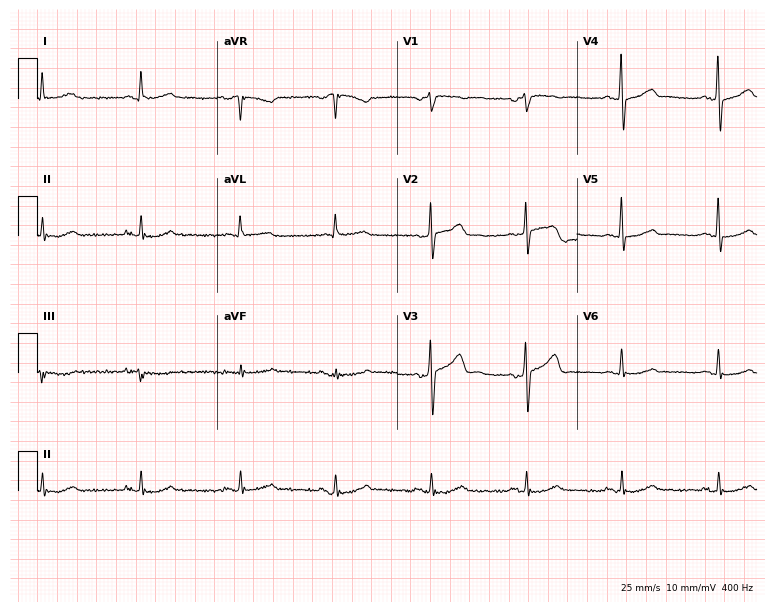
Standard 12-lead ECG recorded from a 62-year-old male patient (7.3-second recording at 400 Hz). Read as a normal ECG.